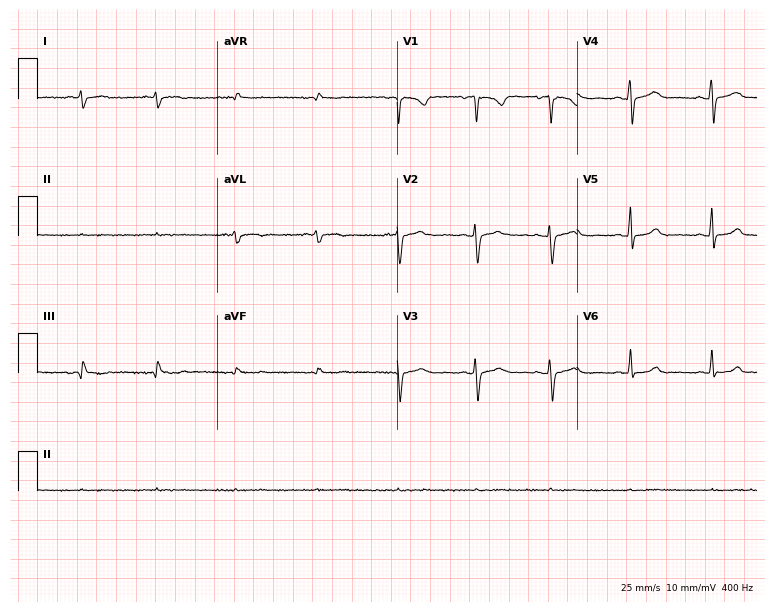
Resting 12-lead electrocardiogram. Patient: a woman, 40 years old. None of these six findings is recorded: first-degree AV block, right bundle branch block, left bundle branch block, sinus bradycardia, atrial fibrillation, sinus tachycardia.